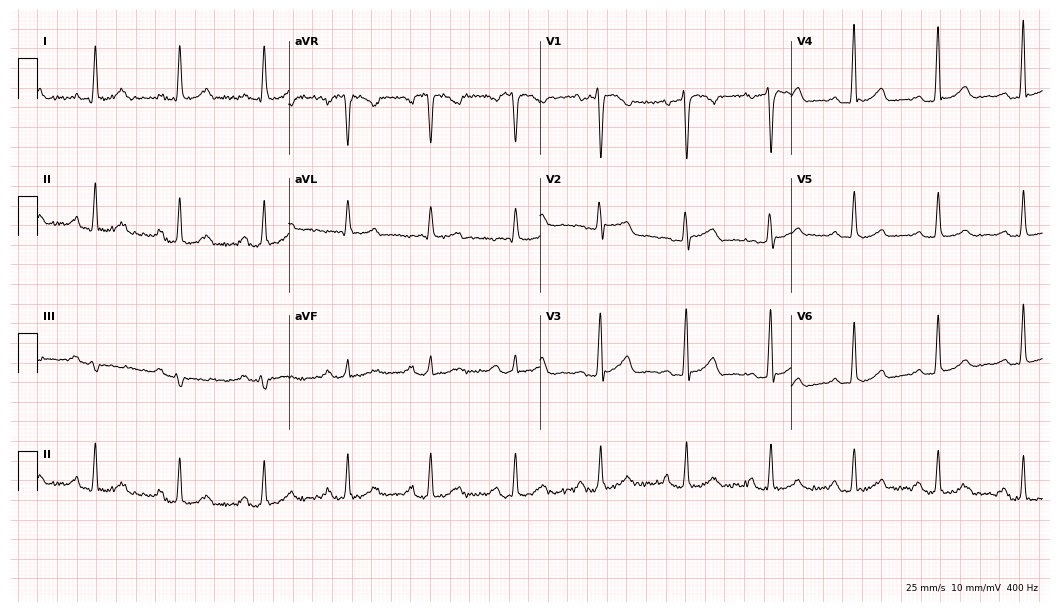
ECG — a 61-year-old female. Labelled as a normal ECG.